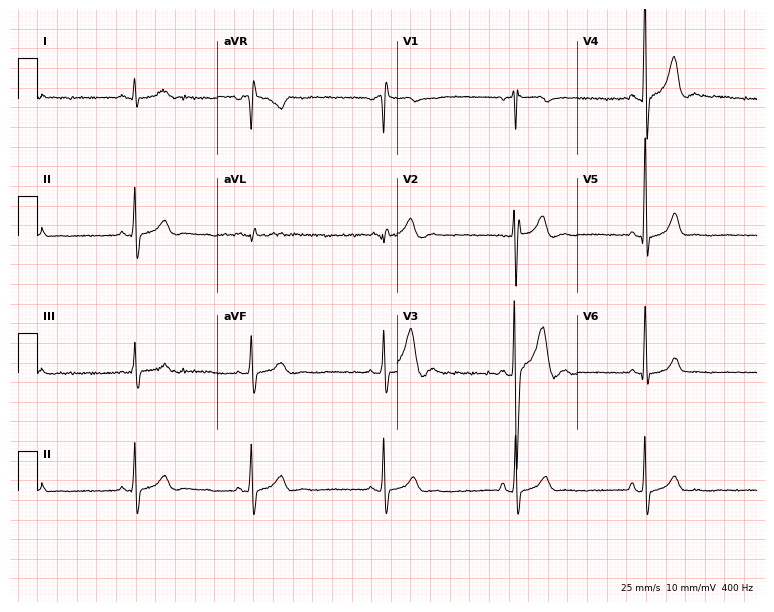
Standard 12-lead ECG recorded from a man, 17 years old (7.3-second recording at 400 Hz). The tracing shows sinus bradycardia (a sinus rate of 50 beats per minute or less).